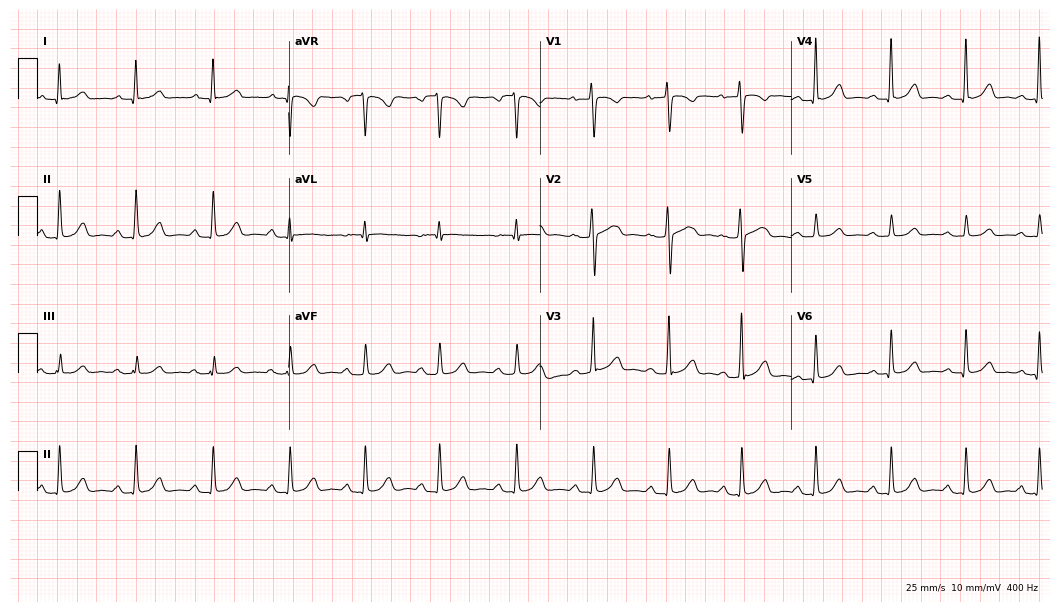
Electrocardiogram, a female, 27 years old. Overall reading on record: normal ECG.